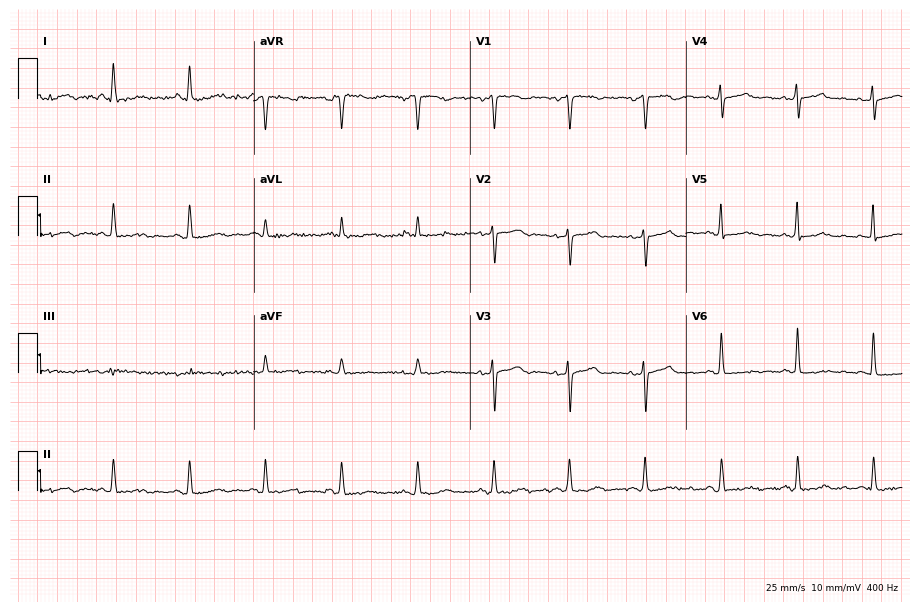
12-lead ECG from an 80-year-old female patient. Screened for six findings — first-degree AV block, right bundle branch block, left bundle branch block, sinus bradycardia, atrial fibrillation, sinus tachycardia — none is recorded. Other findings, if any, are not listed.